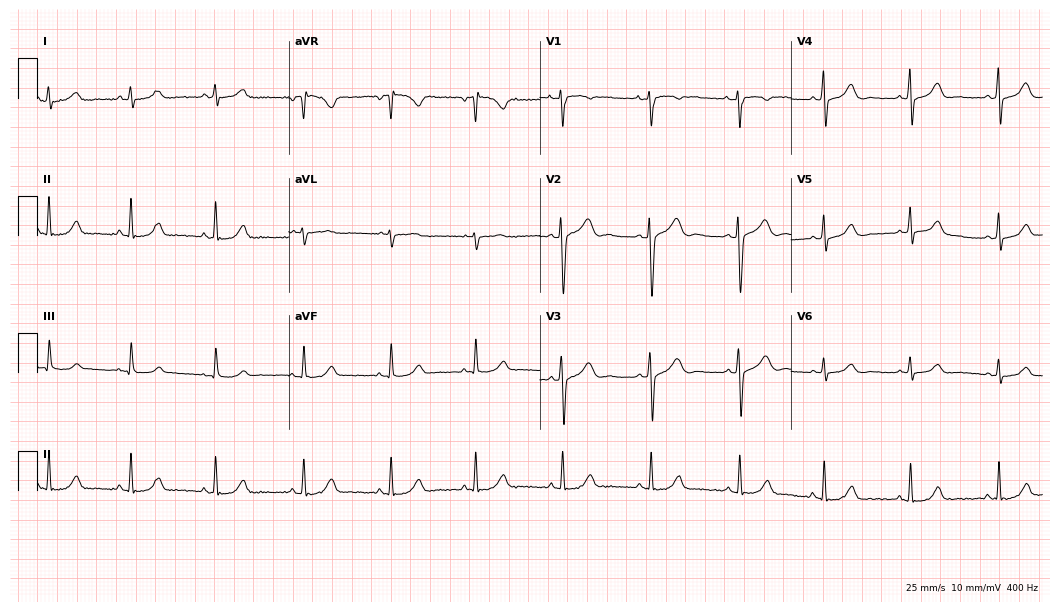
Standard 12-lead ECG recorded from a female, 28 years old. Read as a normal ECG.